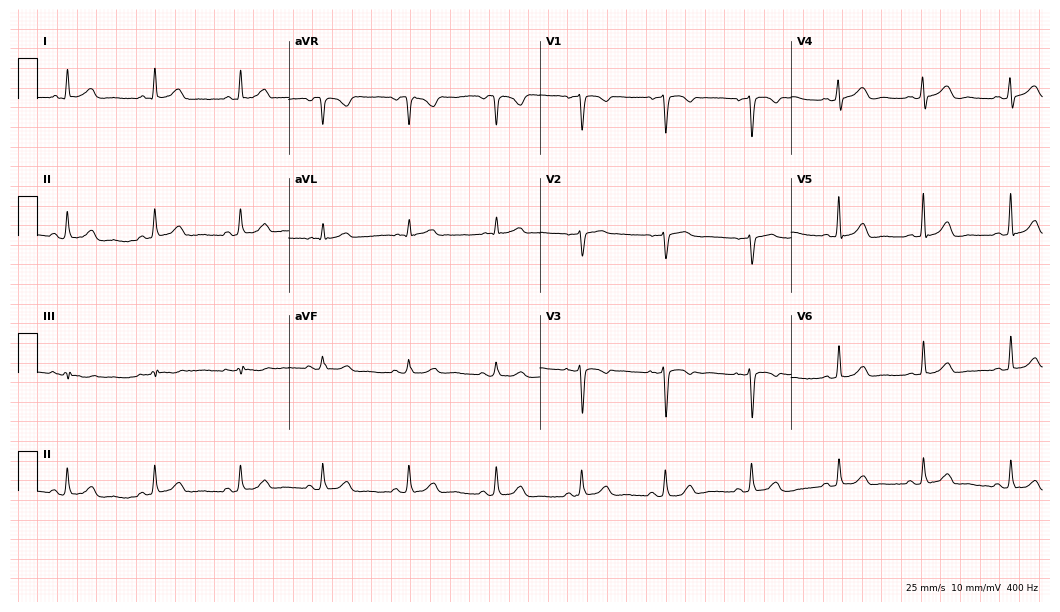
12-lead ECG from a female, 47 years old (10.2-second recording at 400 Hz). Recorded interpretation: within normal limits.